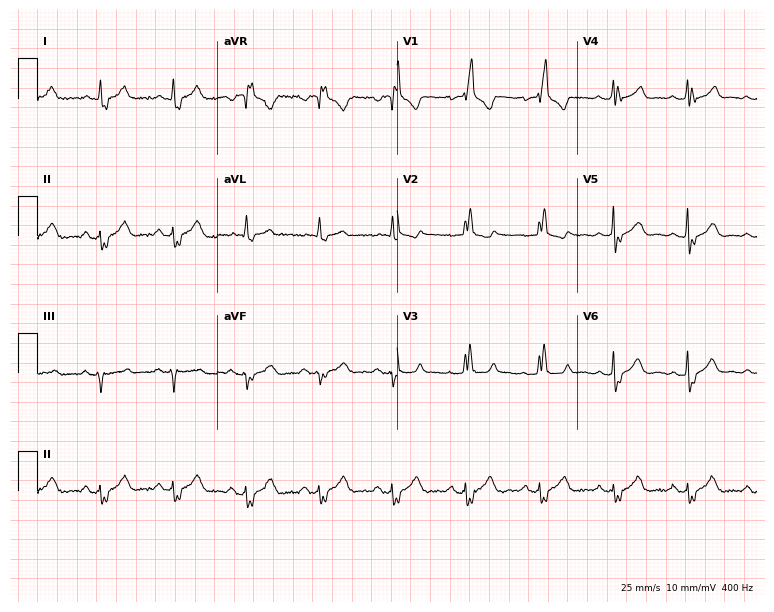
ECG (7.3-second recording at 400 Hz) — a male patient, 68 years old. Findings include right bundle branch block.